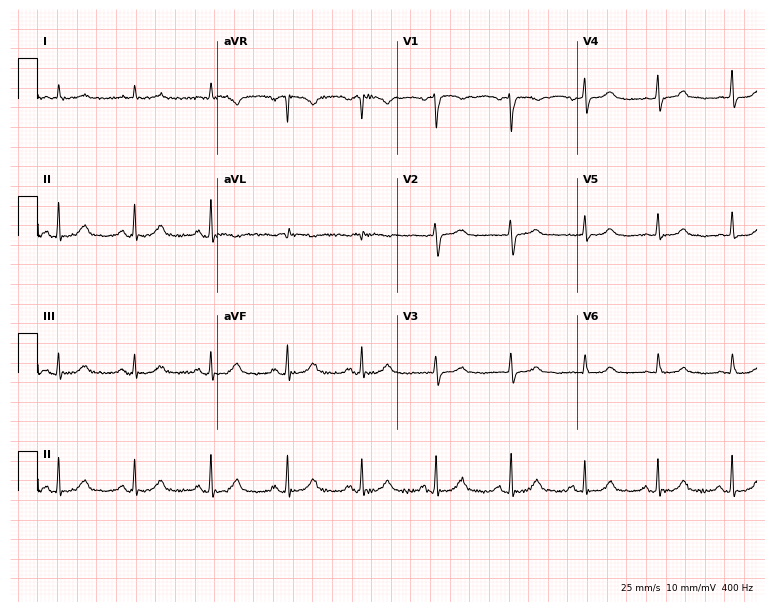
Electrocardiogram, a female, 61 years old. Of the six screened findings (first-degree AV block, right bundle branch block, left bundle branch block, sinus bradycardia, atrial fibrillation, sinus tachycardia), none is recorded. Other findings, if any, are not listed.